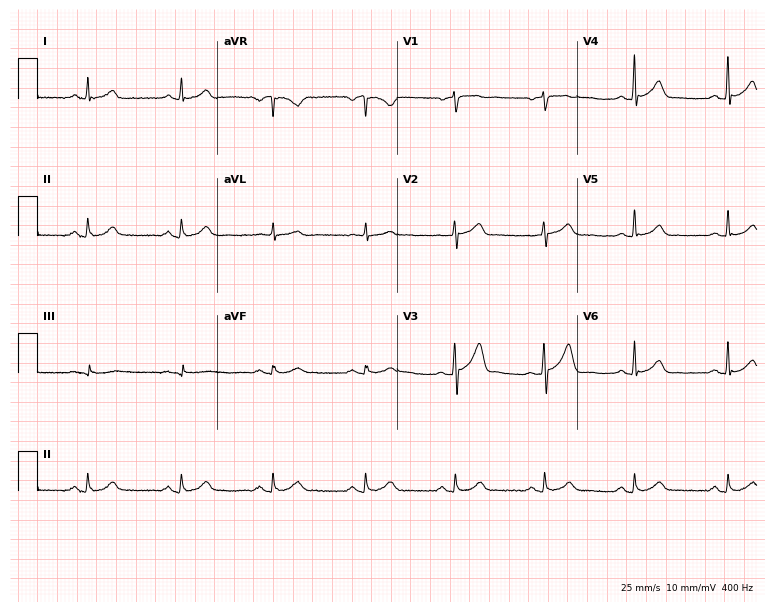
ECG — a 52-year-old male. Labelled as a normal ECG.